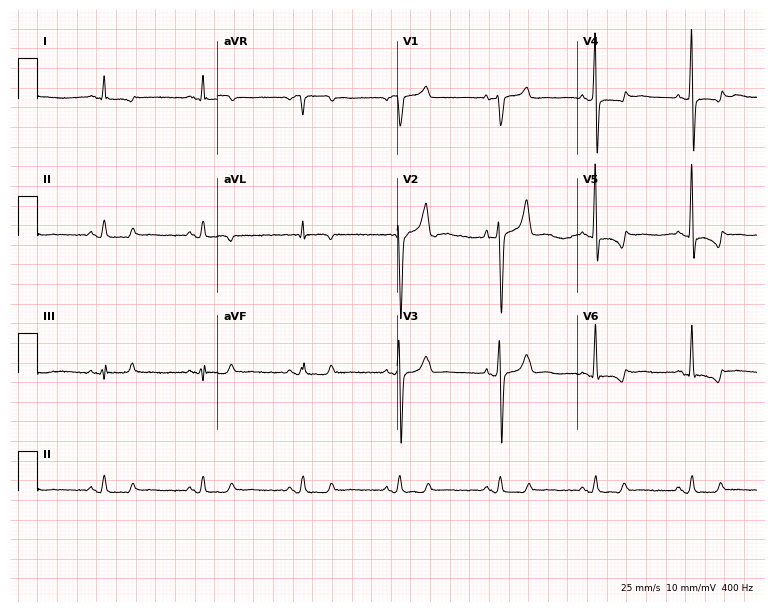
12-lead ECG from a male, 58 years old (7.3-second recording at 400 Hz). No first-degree AV block, right bundle branch block (RBBB), left bundle branch block (LBBB), sinus bradycardia, atrial fibrillation (AF) or sinus tachycardia recorded for this tracing. Other findings, if any, are not listed.